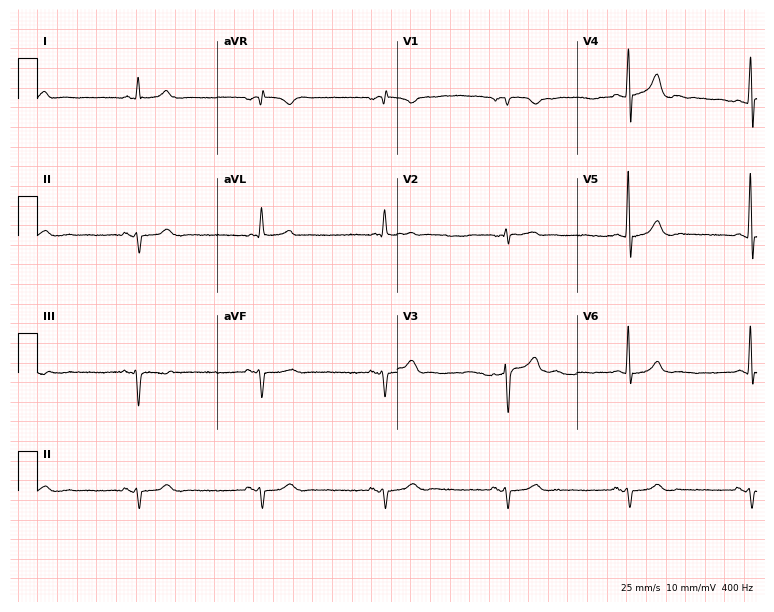
ECG (7.3-second recording at 400 Hz) — a 61-year-old male patient. Findings include sinus bradycardia (a sinus rate of 50 beats per minute or less).